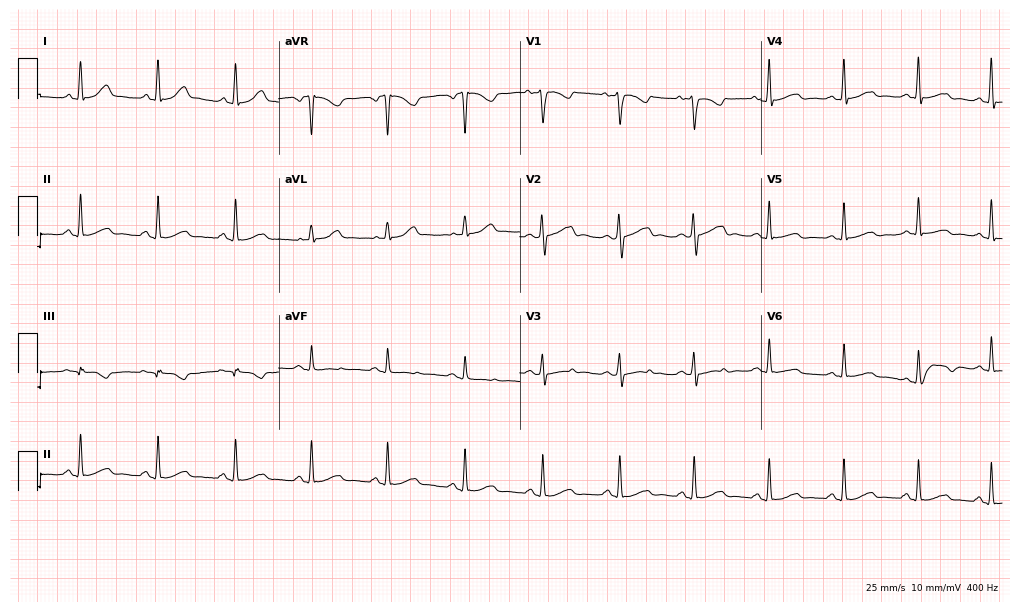
12-lead ECG from a 41-year-old woman. Labelled as a normal ECG.